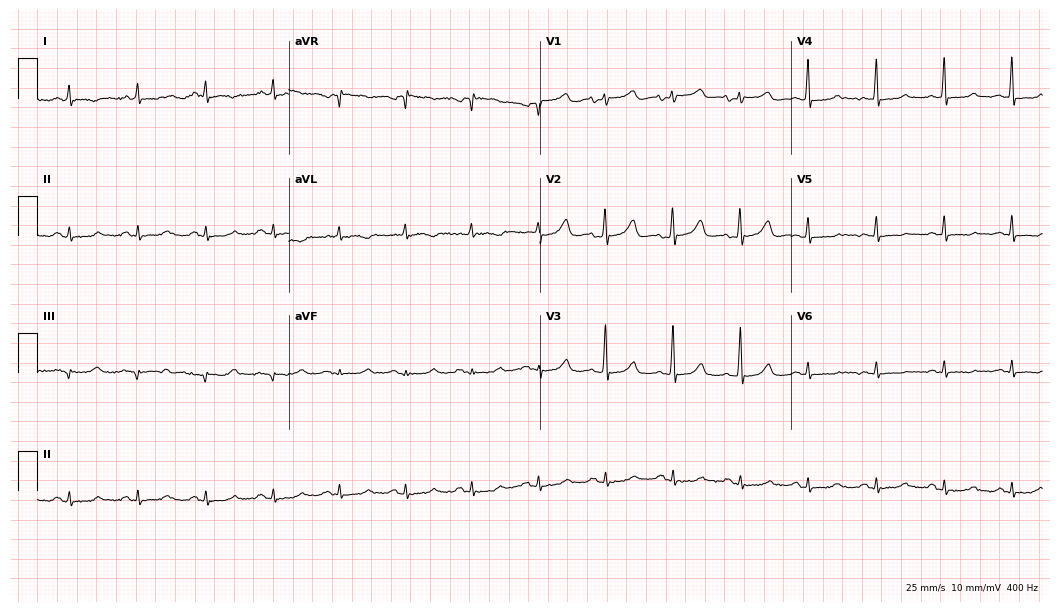
ECG — a female, 72 years old. Screened for six findings — first-degree AV block, right bundle branch block (RBBB), left bundle branch block (LBBB), sinus bradycardia, atrial fibrillation (AF), sinus tachycardia — none is recorded.